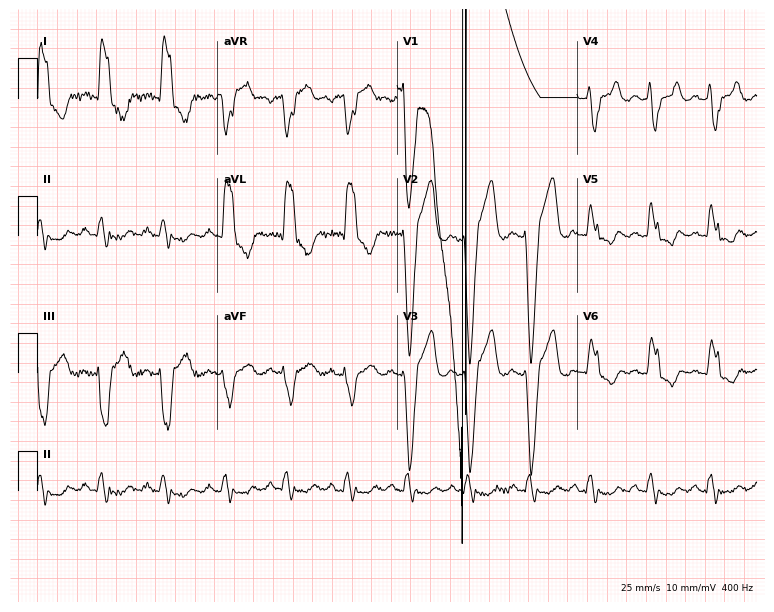
12-lead ECG from a 47-year-old male. No first-degree AV block, right bundle branch block (RBBB), left bundle branch block (LBBB), sinus bradycardia, atrial fibrillation (AF) or sinus tachycardia recorded for this tracing.